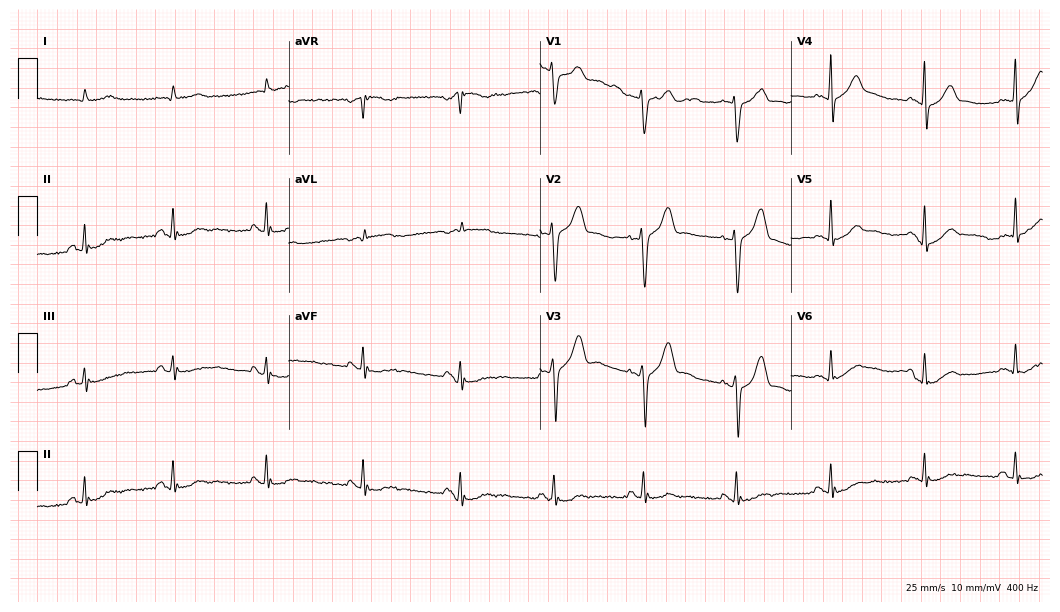
Resting 12-lead electrocardiogram (10.2-second recording at 400 Hz). Patient: a male, 78 years old. None of these six findings is recorded: first-degree AV block, right bundle branch block, left bundle branch block, sinus bradycardia, atrial fibrillation, sinus tachycardia.